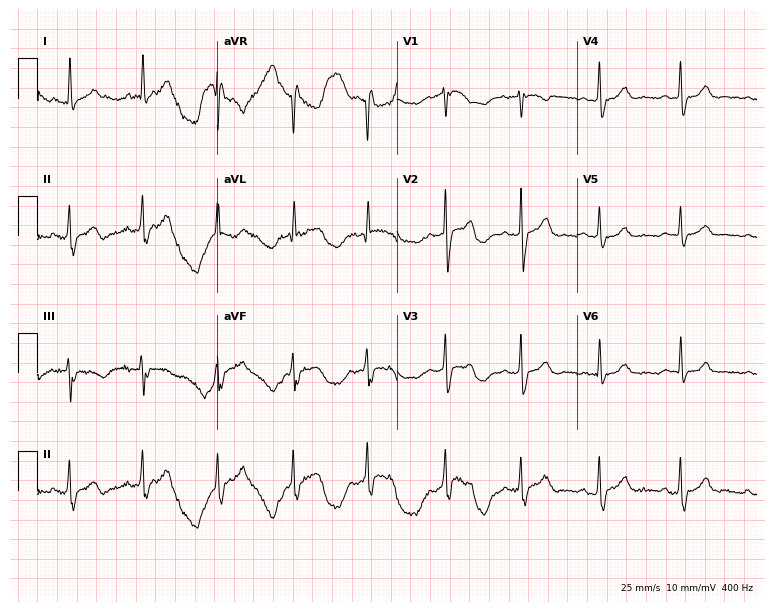
Electrocardiogram (7.3-second recording at 400 Hz), a female, 40 years old. Overall reading on record: normal ECG.